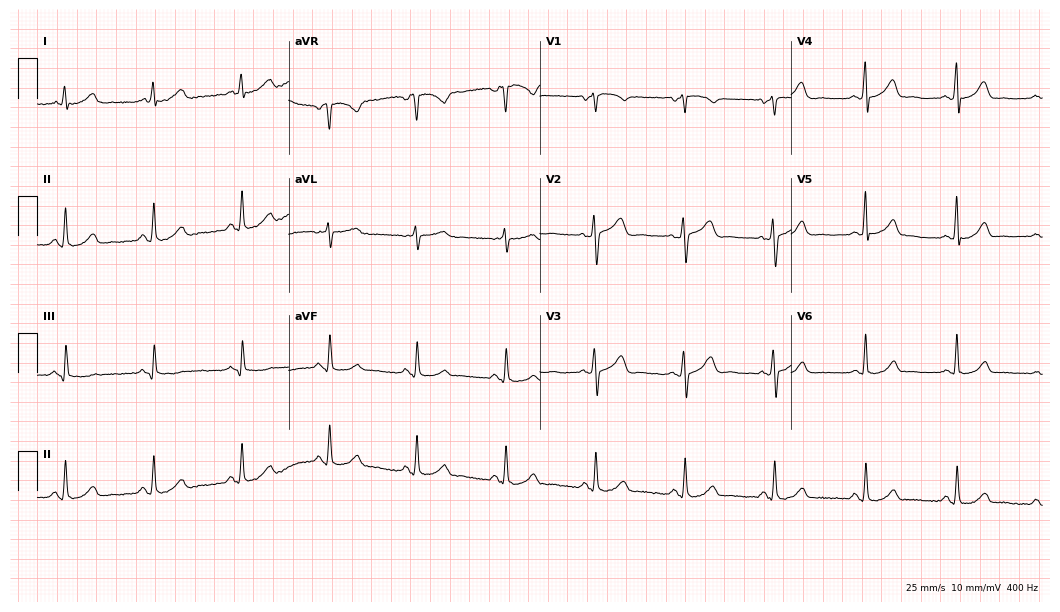
12-lead ECG from a male patient, 56 years old. No first-degree AV block, right bundle branch block (RBBB), left bundle branch block (LBBB), sinus bradycardia, atrial fibrillation (AF) or sinus tachycardia recorded for this tracing.